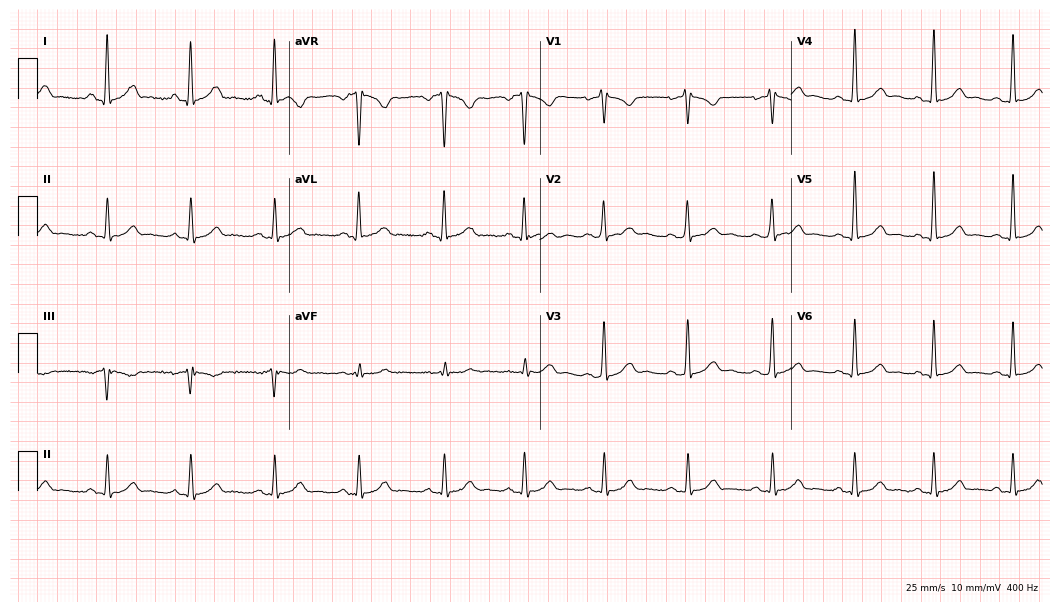
ECG (10.2-second recording at 400 Hz) — a 31-year-old woman. Labelled as a normal ECG.